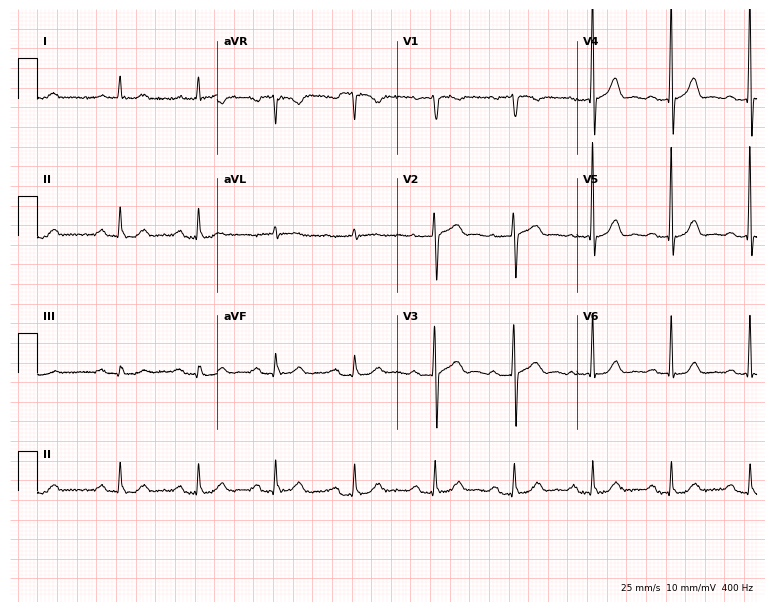
ECG — a male patient, 77 years old. Screened for six findings — first-degree AV block, right bundle branch block, left bundle branch block, sinus bradycardia, atrial fibrillation, sinus tachycardia — none is recorded. Only these six findings were labelled.